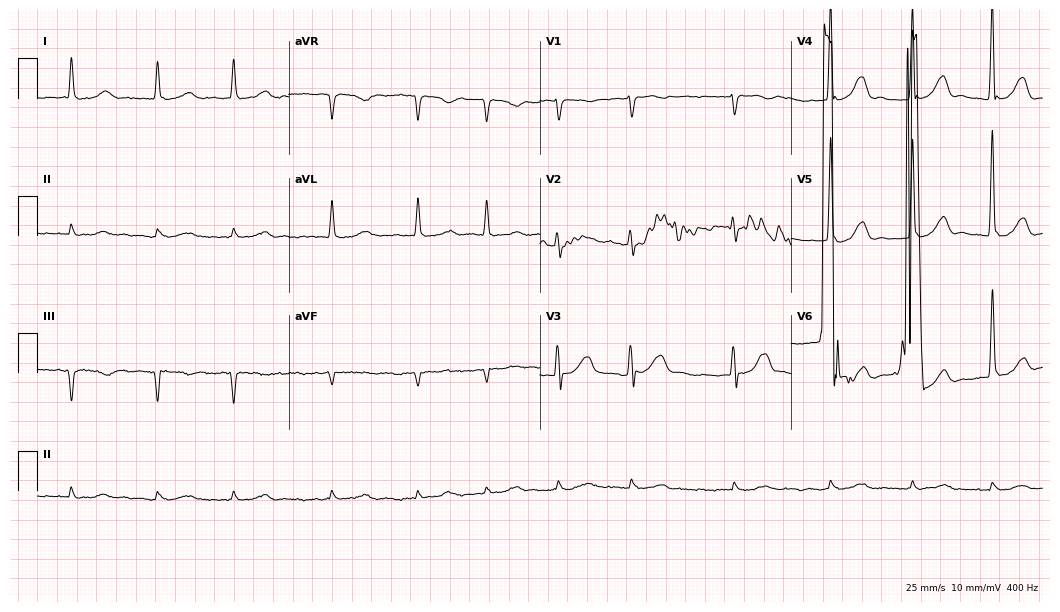
Resting 12-lead electrocardiogram. Patient: an 81-year-old male. The tracing shows atrial fibrillation.